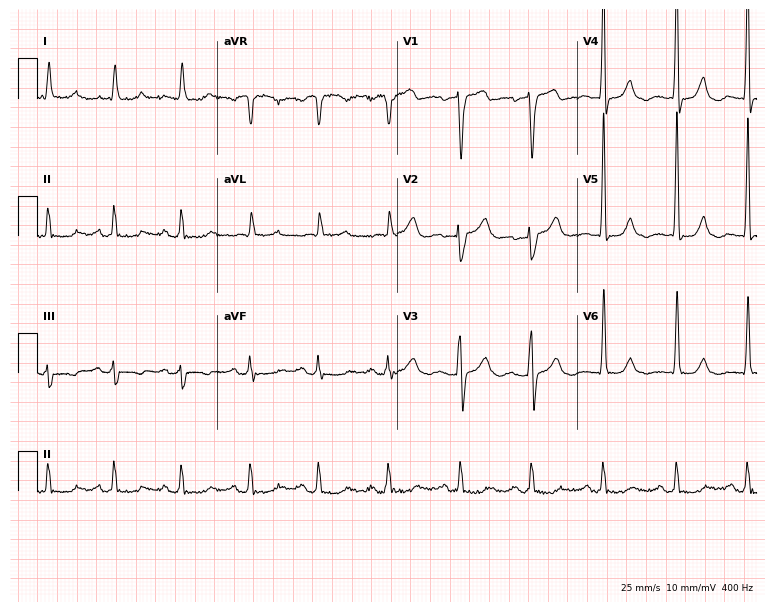
Electrocardiogram, a 77-year-old man. Overall reading on record: normal ECG.